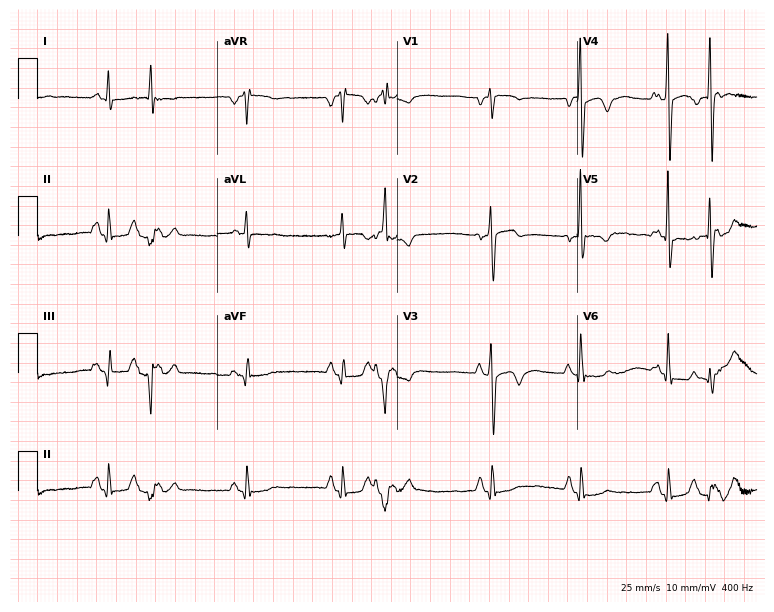
Standard 12-lead ECG recorded from a male, 59 years old (7.3-second recording at 400 Hz). None of these six findings is recorded: first-degree AV block, right bundle branch block, left bundle branch block, sinus bradycardia, atrial fibrillation, sinus tachycardia. Other findings, if any, are not listed.